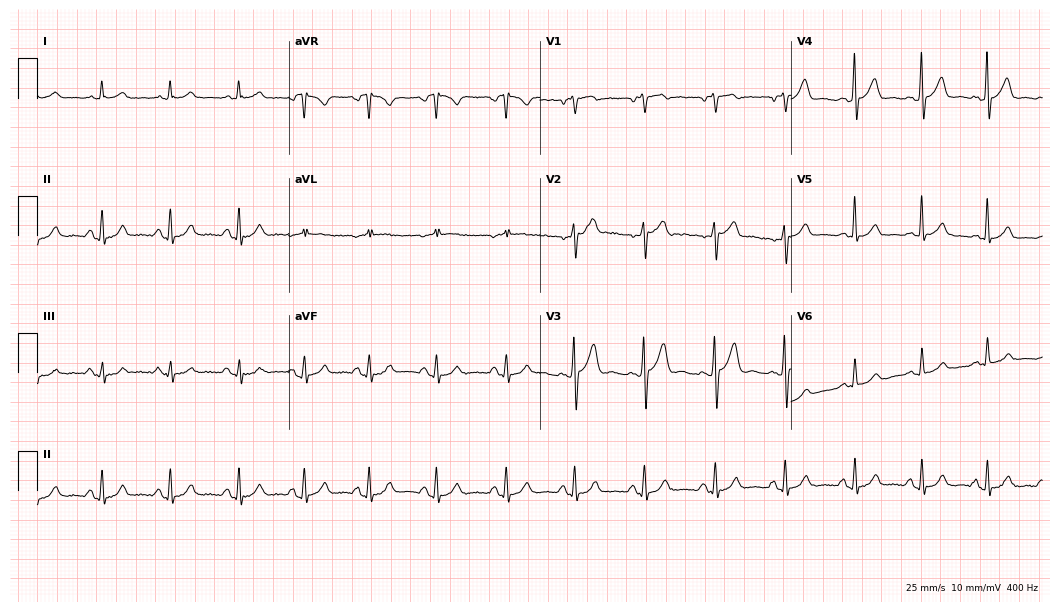
12-lead ECG from a 45-year-old man. No first-degree AV block, right bundle branch block (RBBB), left bundle branch block (LBBB), sinus bradycardia, atrial fibrillation (AF) or sinus tachycardia recorded for this tracing.